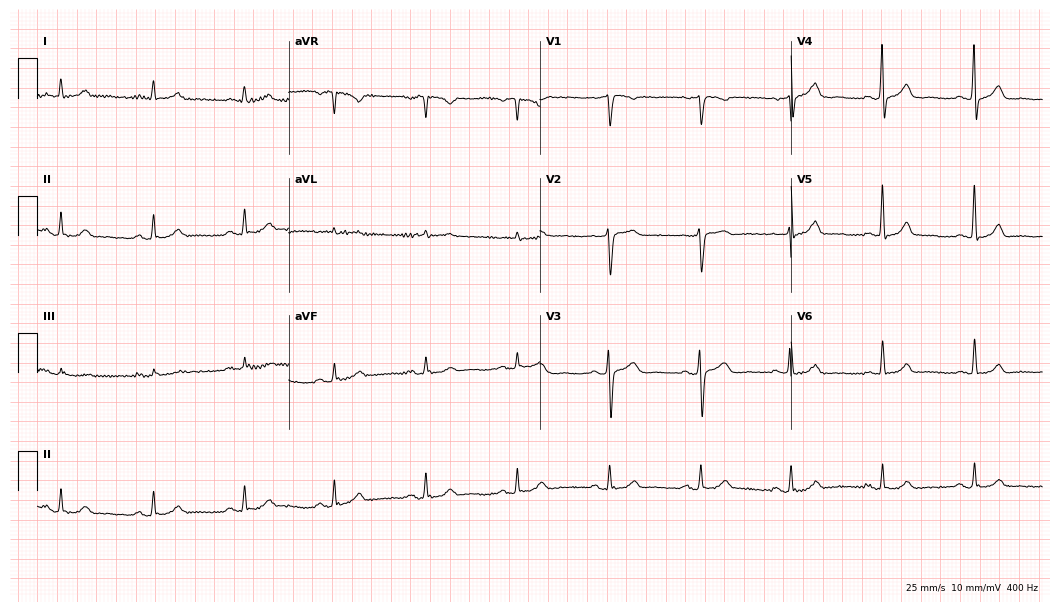
Standard 12-lead ECG recorded from a male, 76 years old. None of these six findings is recorded: first-degree AV block, right bundle branch block (RBBB), left bundle branch block (LBBB), sinus bradycardia, atrial fibrillation (AF), sinus tachycardia. Other findings, if any, are not listed.